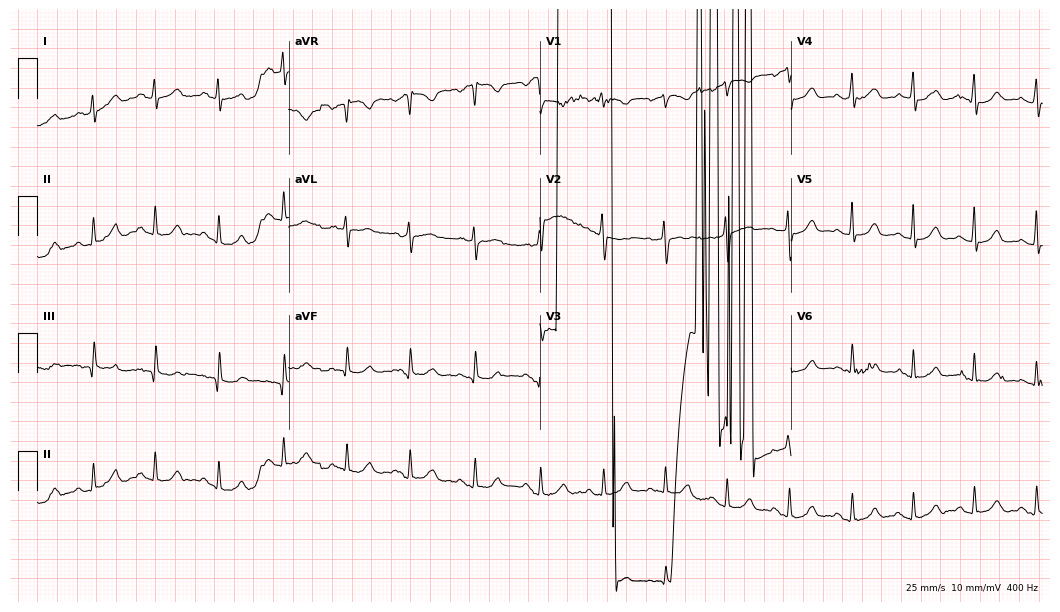
12-lead ECG from a 37-year-old female. Screened for six findings — first-degree AV block, right bundle branch block, left bundle branch block, sinus bradycardia, atrial fibrillation, sinus tachycardia — none is recorded.